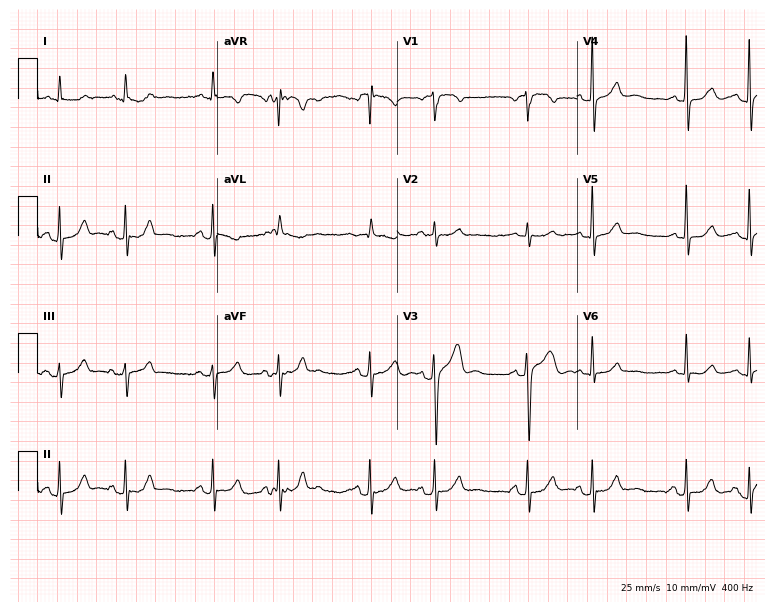
Electrocardiogram (7.3-second recording at 400 Hz), an 84-year-old male. Of the six screened findings (first-degree AV block, right bundle branch block, left bundle branch block, sinus bradycardia, atrial fibrillation, sinus tachycardia), none is recorded.